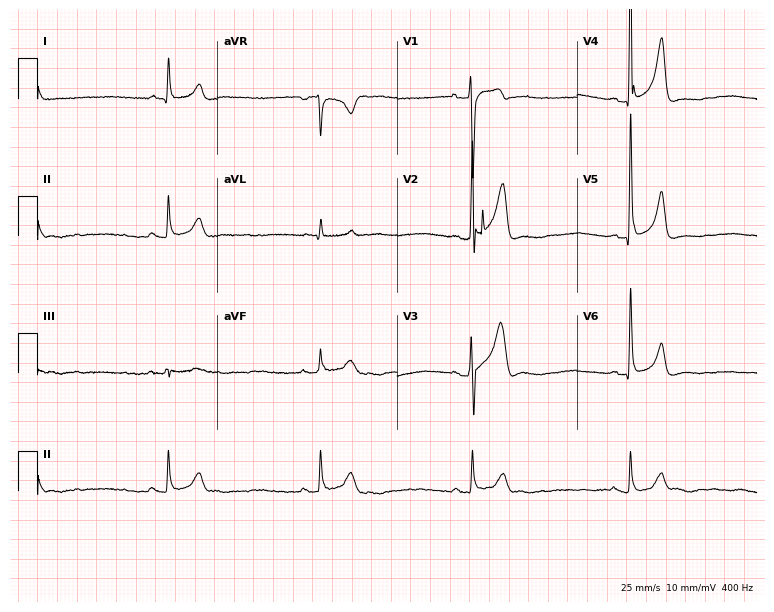
ECG (7.3-second recording at 400 Hz) — a 50-year-old male patient. Findings include sinus bradycardia (a sinus rate of 50 beats per minute or less).